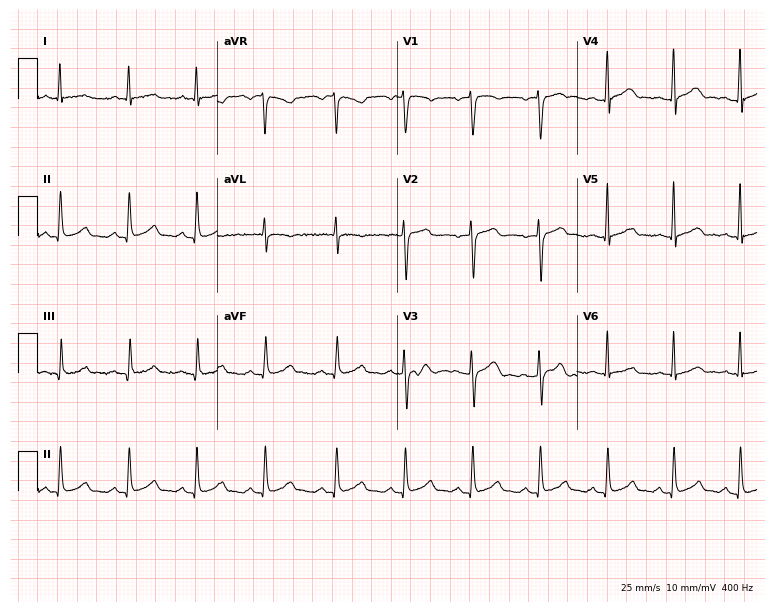
Electrocardiogram (7.3-second recording at 400 Hz), a male, 49 years old. Overall reading on record: normal ECG.